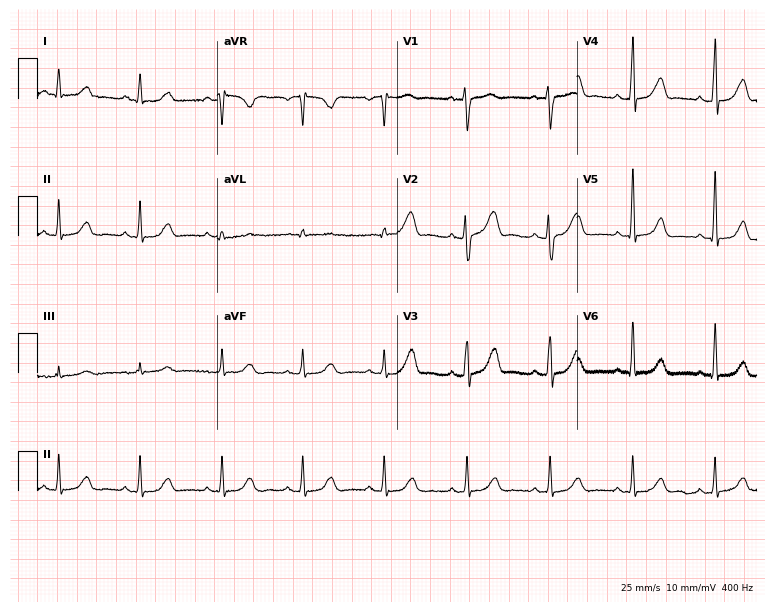
Standard 12-lead ECG recorded from a 46-year-old woman. None of these six findings is recorded: first-degree AV block, right bundle branch block, left bundle branch block, sinus bradycardia, atrial fibrillation, sinus tachycardia. Only these six findings were labelled.